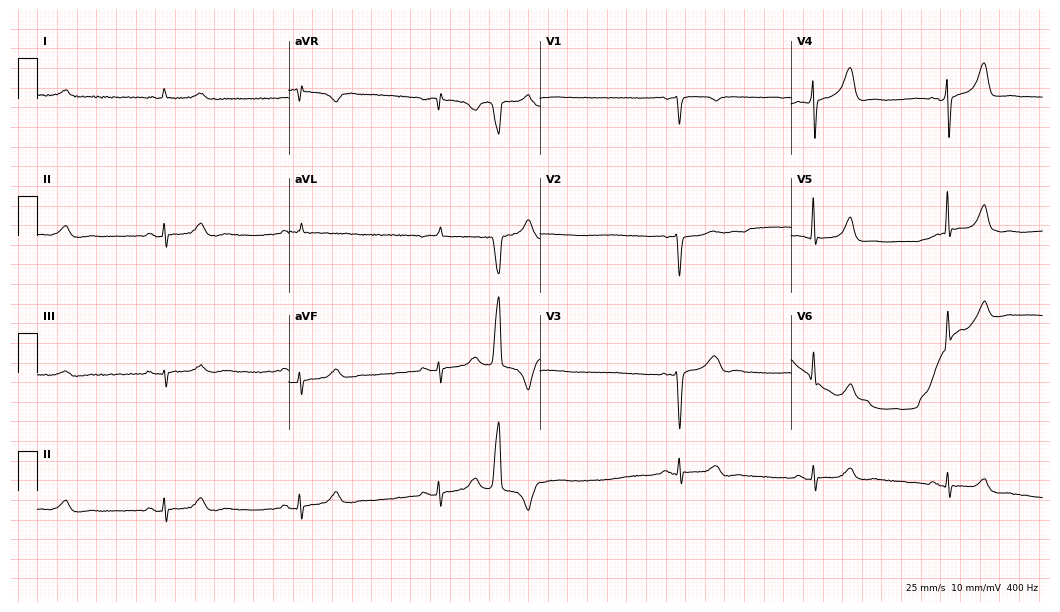
12-lead ECG from an 83-year-old male. Shows sinus bradycardia (a sinus rate of 50 beats per minute or less).